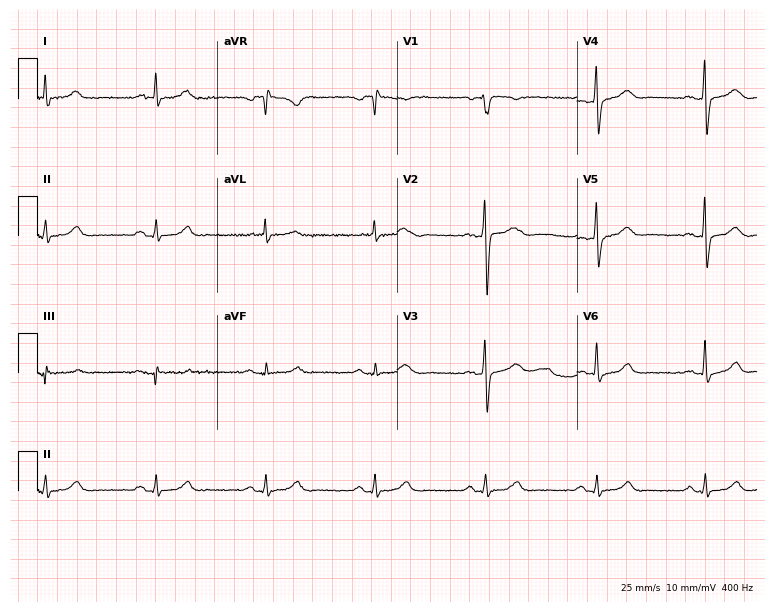
Standard 12-lead ECG recorded from a male, 62 years old (7.3-second recording at 400 Hz). Read as a normal ECG.